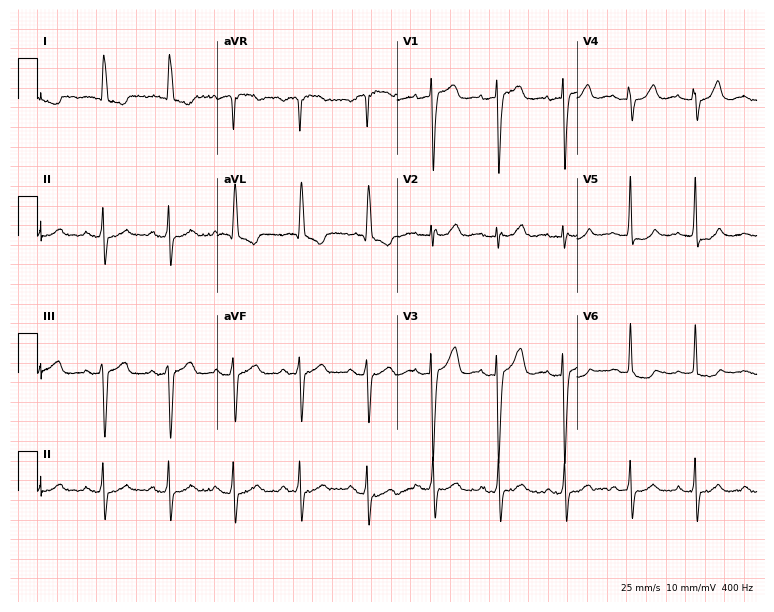
Resting 12-lead electrocardiogram. Patient: an 83-year-old woman. None of these six findings is recorded: first-degree AV block, right bundle branch block (RBBB), left bundle branch block (LBBB), sinus bradycardia, atrial fibrillation (AF), sinus tachycardia.